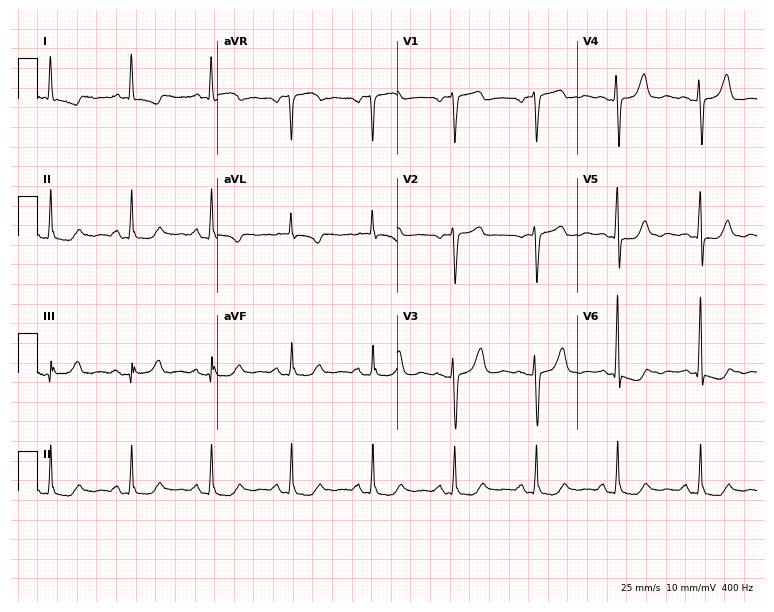
Electrocardiogram (7.3-second recording at 400 Hz), a woman, 75 years old. Of the six screened findings (first-degree AV block, right bundle branch block (RBBB), left bundle branch block (LBBB), sinus bradycardia, atrial fibrillation (AF), sinus tachycardia), none is recorded. Only these six findings were labelled.